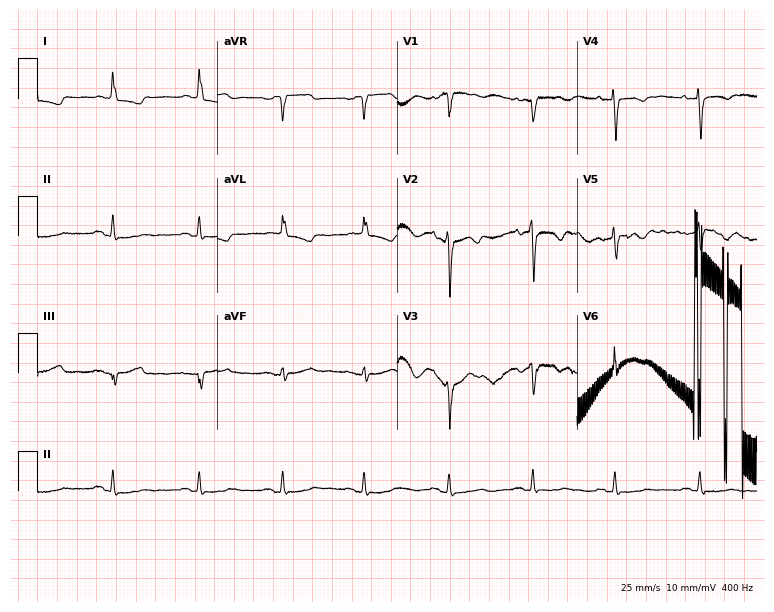
12-lead ECG from a female, 84 years old. Screened for six findings — first-degree AV block, right bundle branch block, left bundle branch block, sinus bradycardia, atrial fibrillation, sinus tachycardia — none is recorded. Other findings, if any, are not listed.